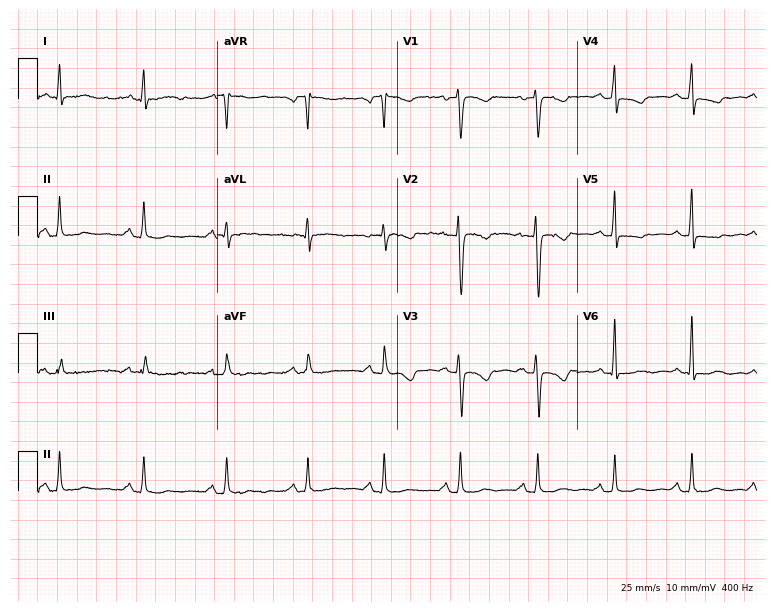
12-lead ECG from a female patient, 58 years old. Screened for six findings — first-degree AV block, right bundle branch block, left bundle branch block, sinus bradycardia, atrial fibrillation, sinus tachycardia — none is recorded.